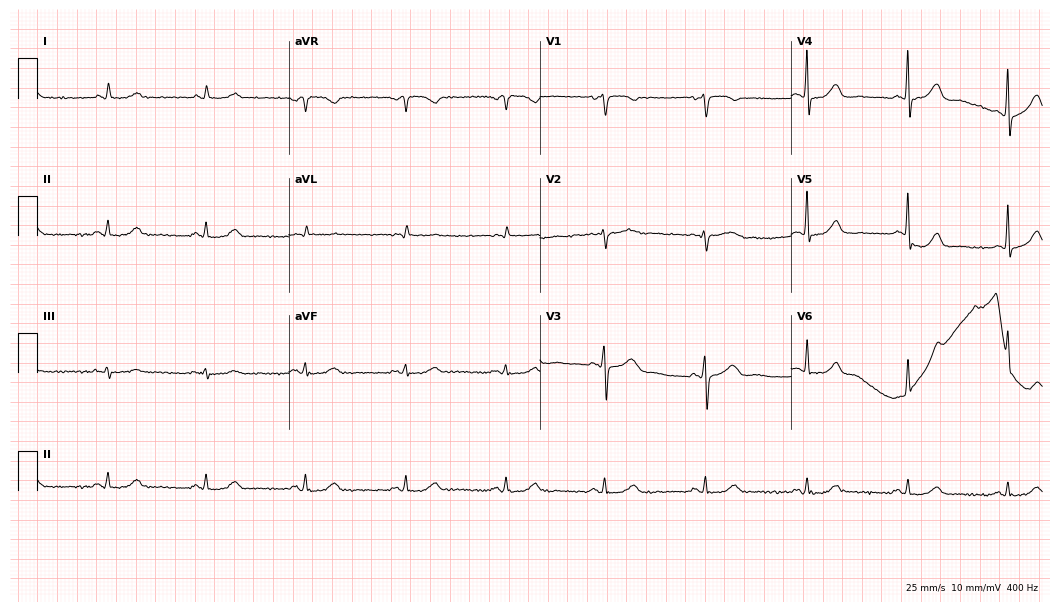
Standard 12-lead ECG recorded from a 76-year-old woman (10.2-second recording at 400 Hz). Read as a normal ECG.